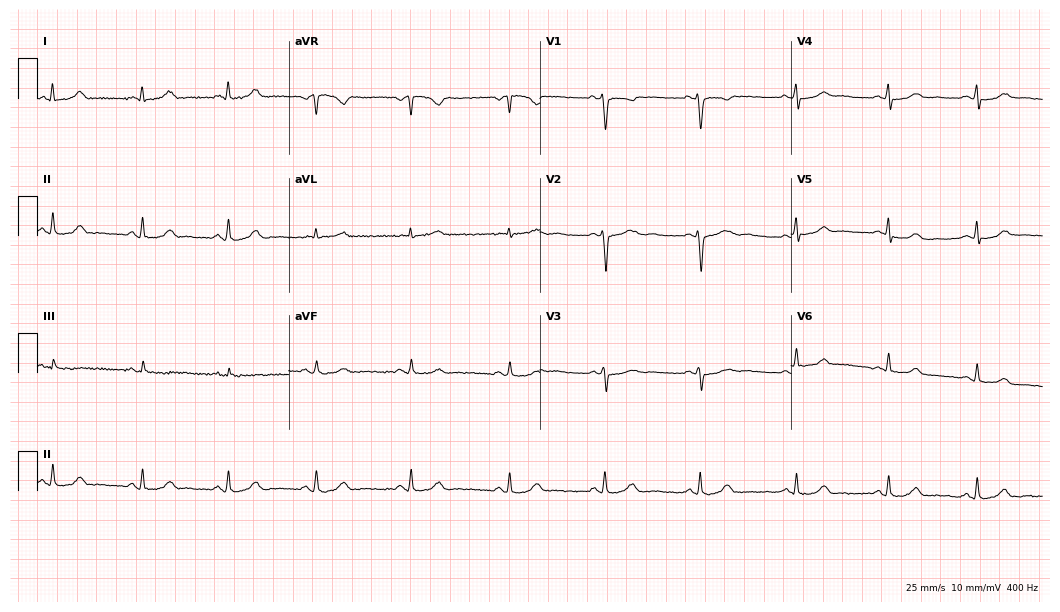
Standard 12-lead ECG recorded from a woman, 35 years old (10.2-second recording at 400 Hz). None of these six findings is recorded: first-degree AV block, right bundle branch block, left bundle branch block, sinus bradycardia, atrial fibrillation, sinus tachycardia.